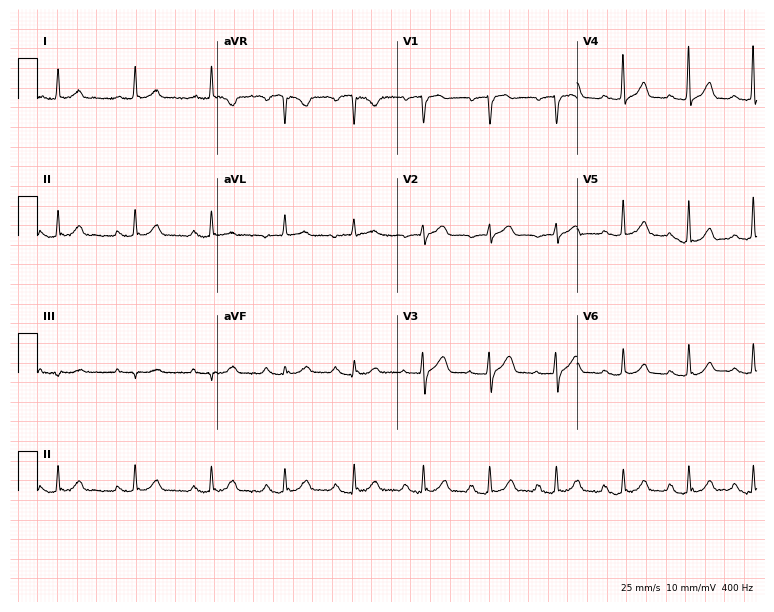
Resting 12-lead electrocardiogram. Patient: a 75-year-old woman. None of these six findings is recorded: first-degree AV block, right bundle branch block (RBBB), left bundle branch block (LBBB), sinus bradycardia, atrial fibrillation (AF), sinus tachycardia.